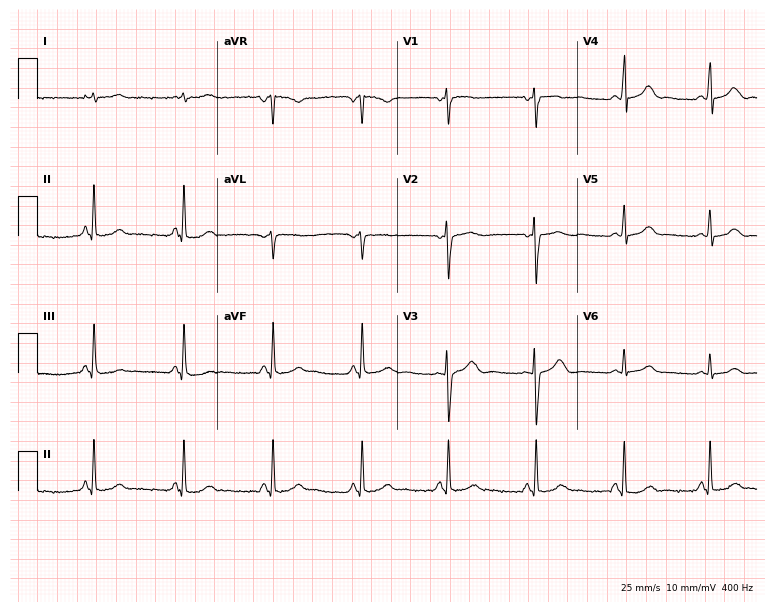
Standard 12-lead ECG recorded from a 37-year-old woman (7.3-second recording at 400 Hz). Read as a normal ECG.